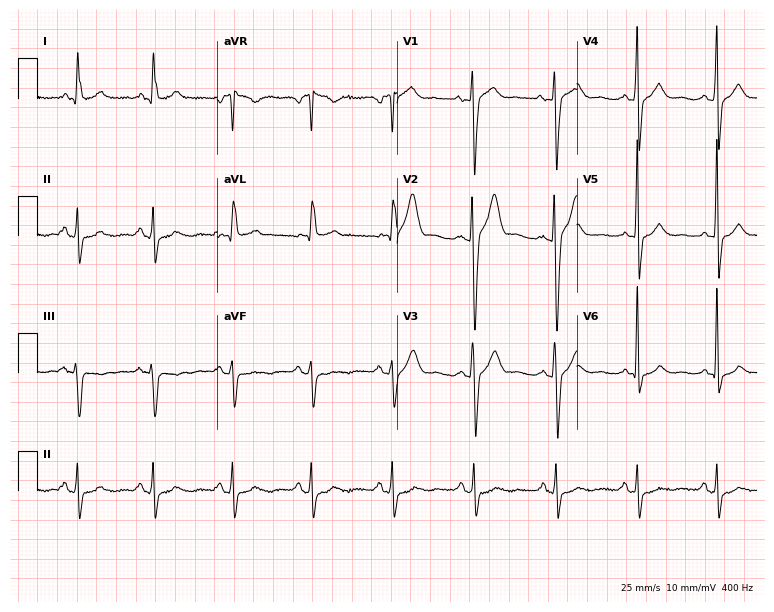
12-lead ECG from a 57-year-old woman. No first-degree AV block, right bundle branch block, left bundle branch block, sinus bradycardia, atrial fibrillation or sinus tachycardia recorded for this tracing.